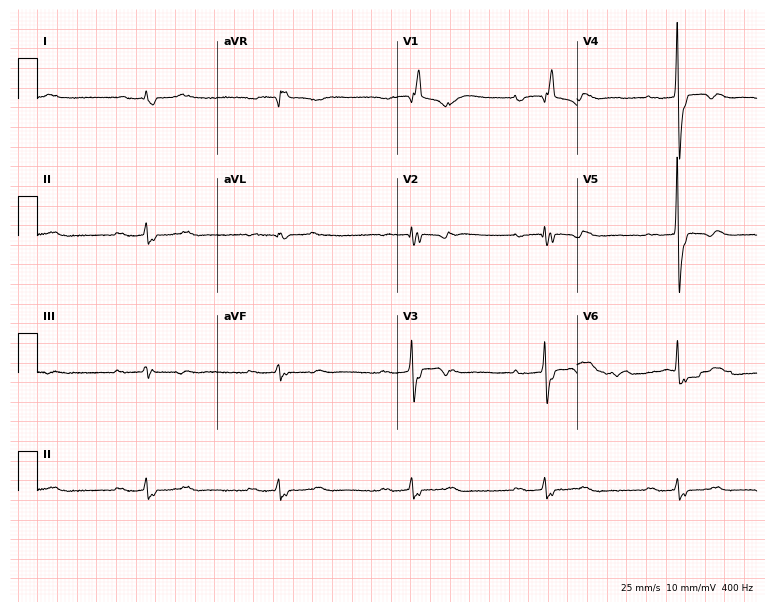
ECG (7.3-second recording at 400 Hz) — a female patient, 79 years old. Findings include first-degree AV block, right bundle branch block, sinus bradycardia (a sinus rate of 50 beats per minute or less).